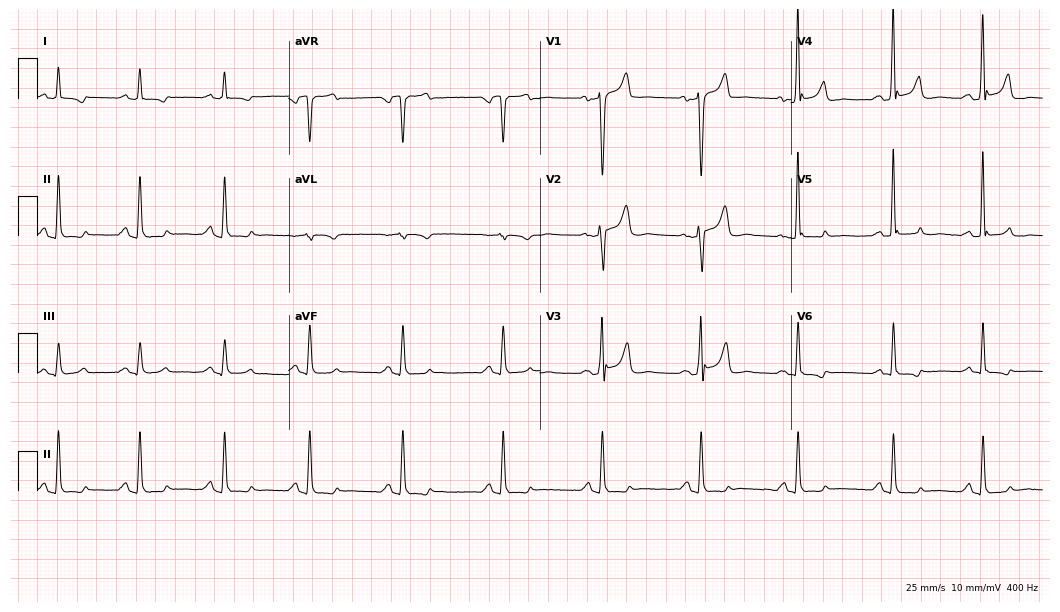
Resting 12-lead electrocardiogram. Patient: a man, 29 years old. None of these six findings is recorded: first-degree AV block, right bundle branch block, left bundle branch block, sinus bradycardia, atrial fibrillation, sinus tachycardia.